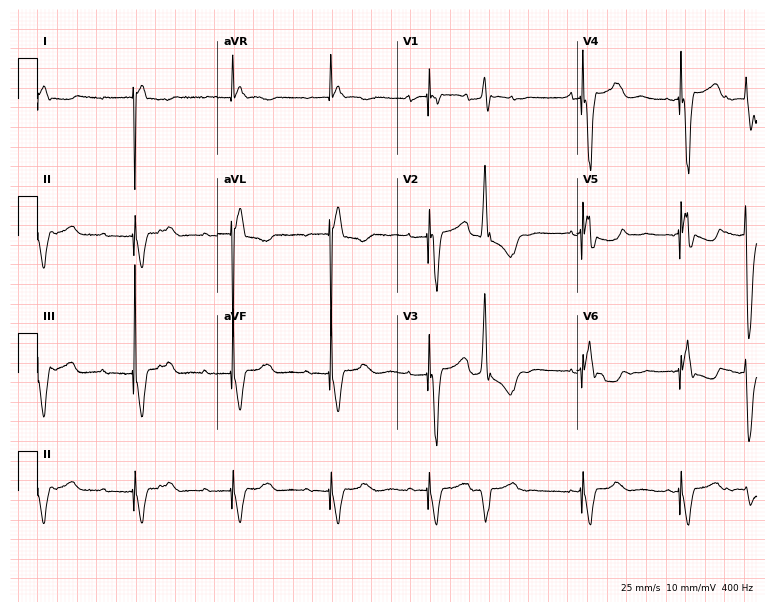
12-lead ECG (7.3-second recording at 400 Hz) from a male patient, 83 years old. Screened for six findings — first-degree AV block, right bundle branch block (RBBB), left bundle branch block (LBBB), sinus bradycardia, atrial fibrillation (AF), sinus tachycardia — none is recorded.